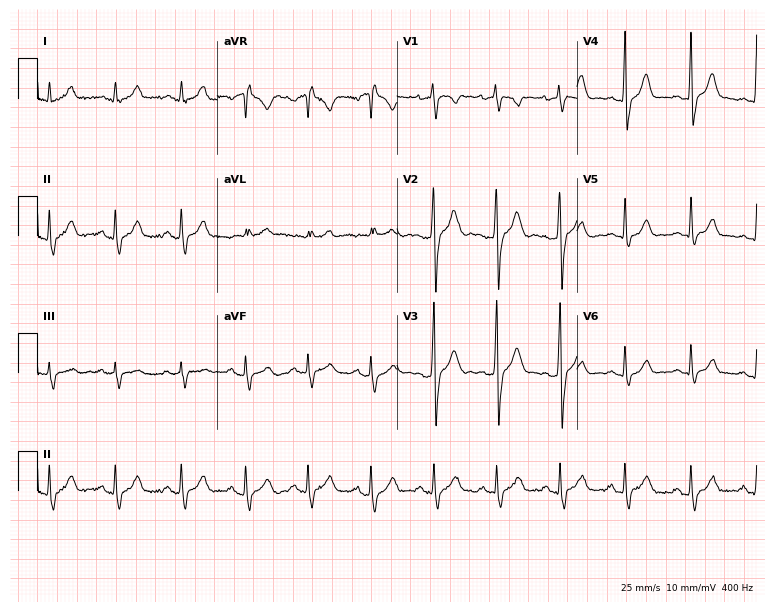
Resting 12-lead electrocardiogram (7.3-second recording at 400 Hz). Patient: a male, 23 years old. Read as a normal ECG.